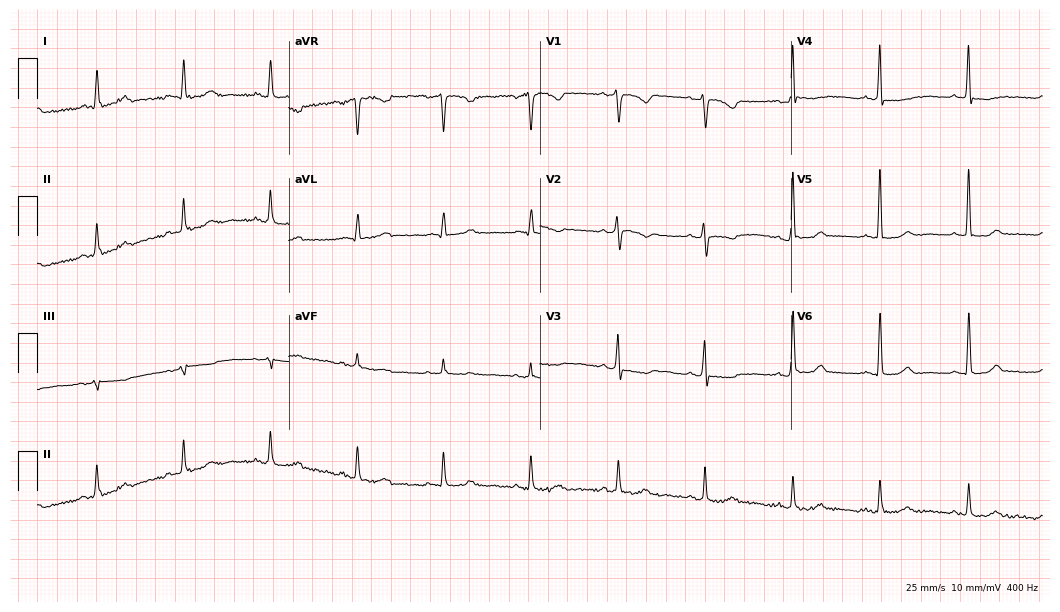
Electrocardiogram, a female patient, 55 years old. Of the six screened findings (first-degree AV block, right bundle branch block, left bundle branch block, sinus bradycardia, atrial fibrillation, sinus tachycardia), none is recorded. Findings outside these six are not listed.